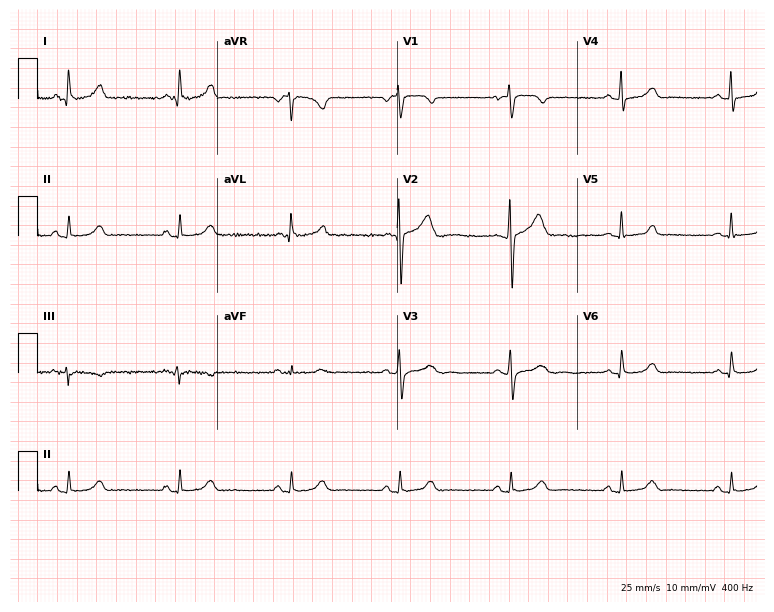
12-lead ECG from a 51-year-old woman (7.3-second recording at 400 Hz). Recorded interpretation: within normal limits.